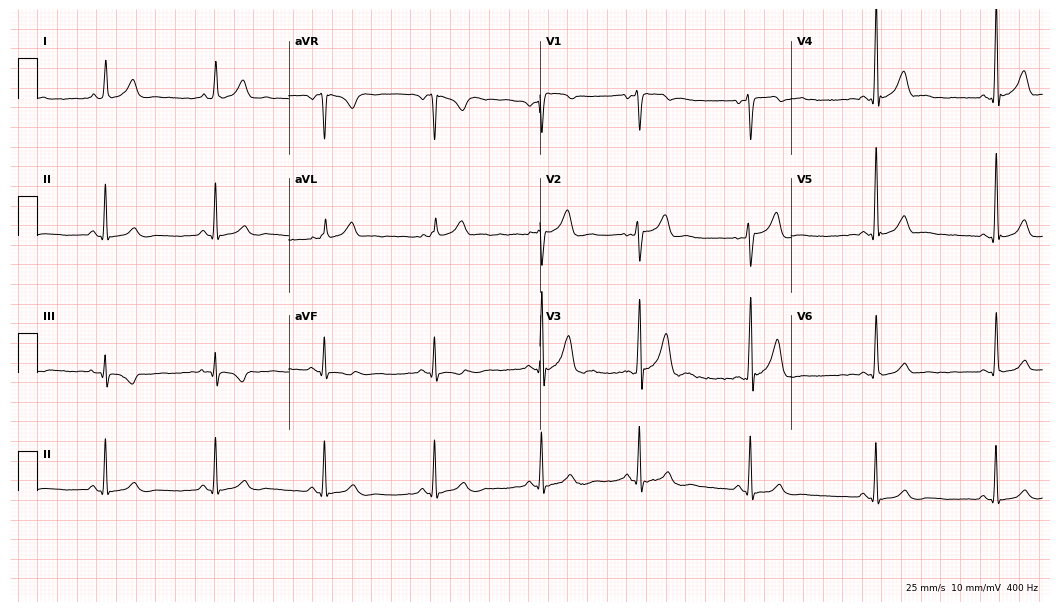
Resting 12-lead electrocardiogram (10.2-second recording at 400 Hz). Patient: a 30-year-old male. Read as a normal ECG.